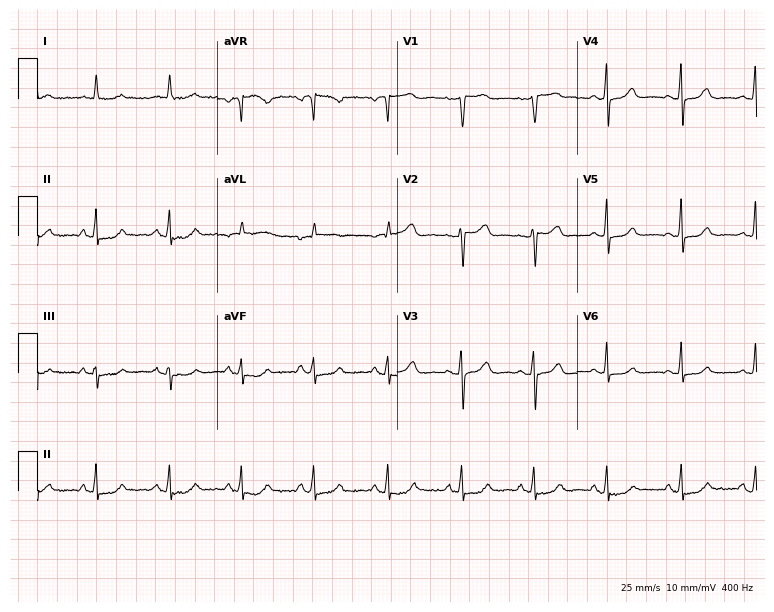
Standard 12-lead ECG recorded from a 40-year-old female (7.3-second recording at 400 Hz). Read as a normal ECG.